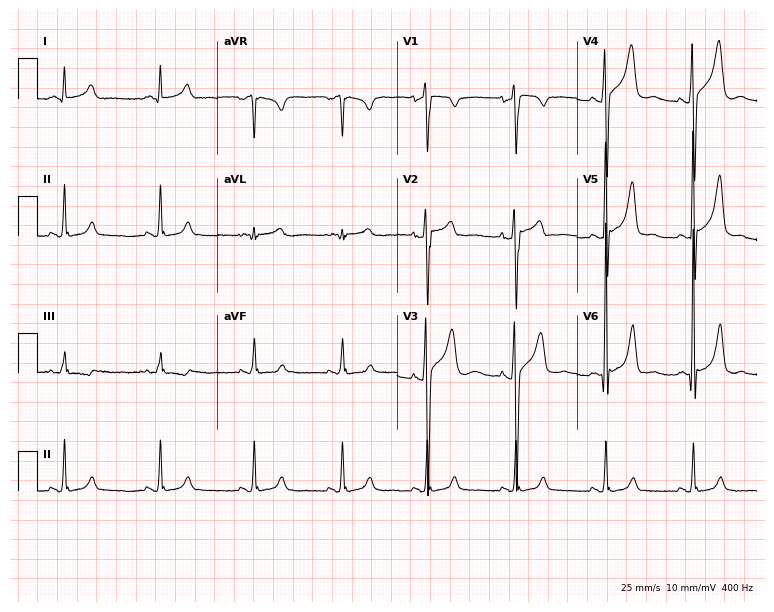
Resting 12-lead electrocardiogram. Patient: a 37-year-old male. Read as a normal ECG.